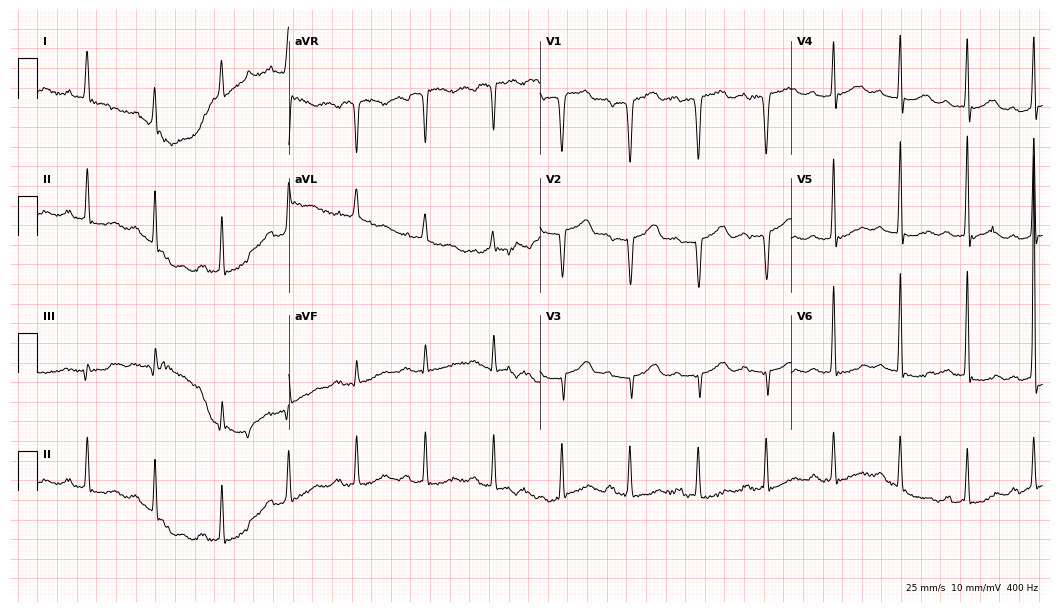
Standard 12-lead ECG recorded from a woman, 74 years old (10.2-second recording at 400 Hz). None of these six findings is recorded: first-degree AV block, right bundle branch block, left bundle branch block, sinus bradycardia, atrial fibrillation, sinus tachycardia. Findings outside these six are not listed.